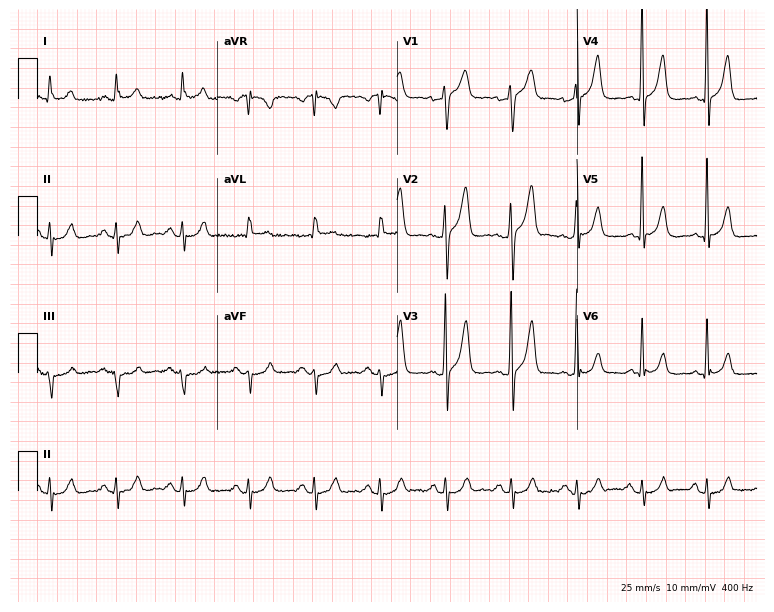
Electrocardiogram, a male, 79 years old. Of the six screened findings (first-degree AV block, right bundle branch block (RBBB), left bundle branch block (LBBB), sinus bradycardia, atrial fibrillation (AF), sinus tachycardia), none is recorded. Other findings, if any, are not listed.